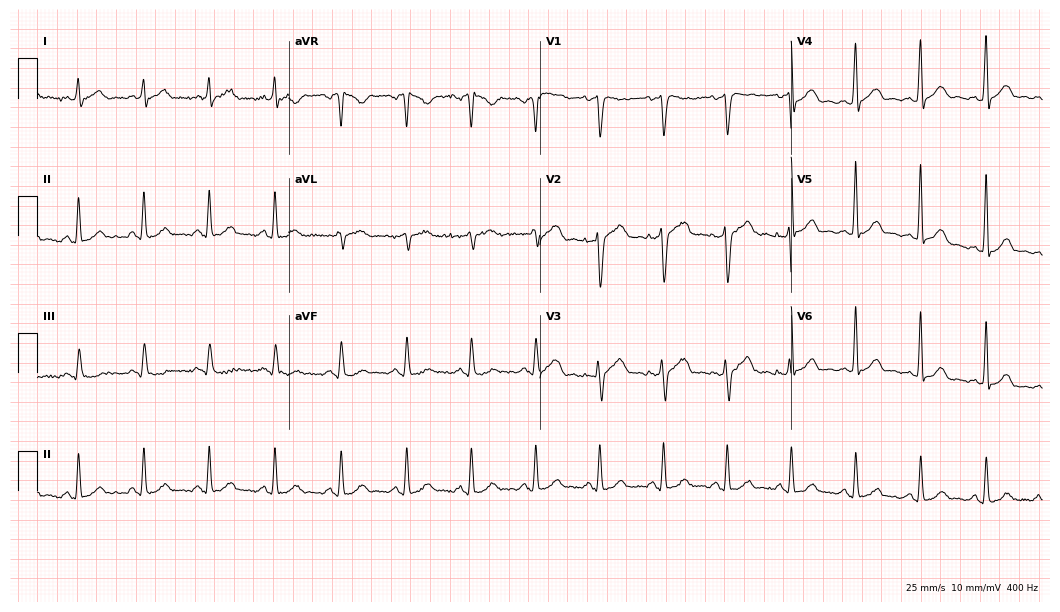
12-lead ECG (10.2-second recording at 400 Hz) from a 43-year-old male. Labelled as a normal ECG.